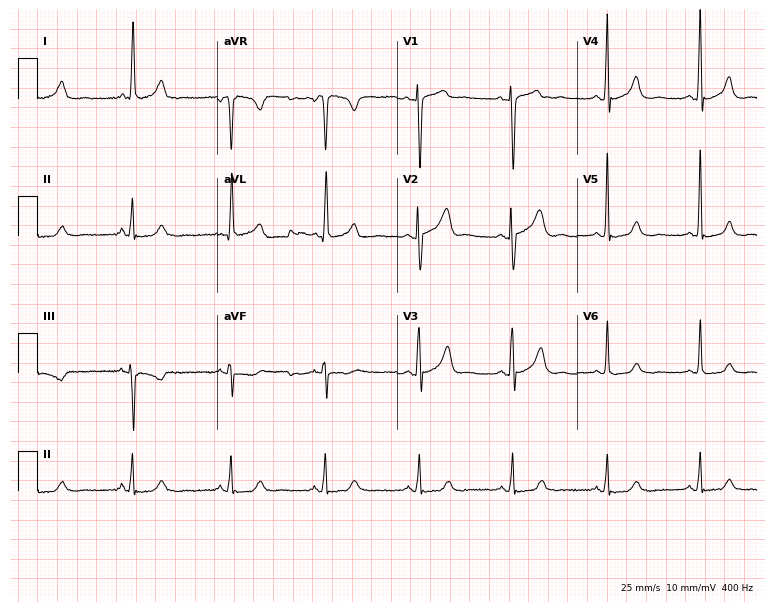
Standard 12-lead ECG recorded from a female patient, 55 years old (7.3-second recording at 400 Hz). Read as a normal ECG.